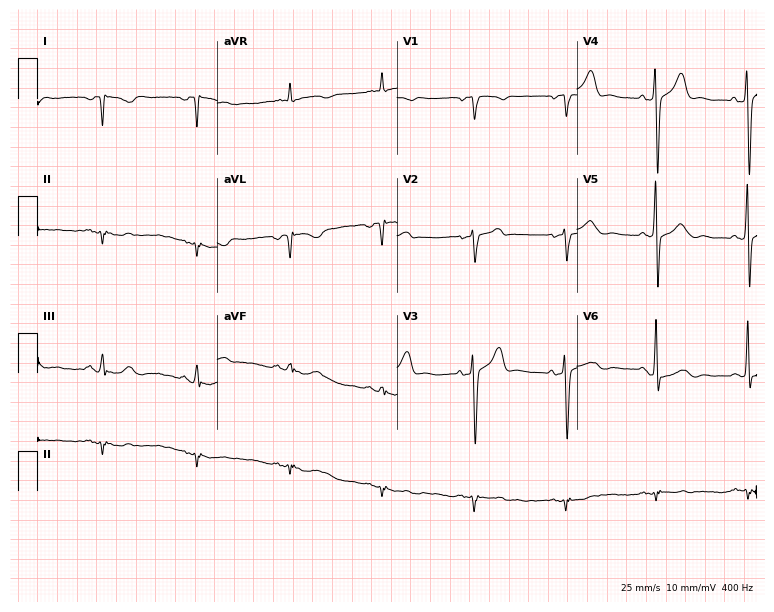
12-lead ECG (7.3-second recording at 400 Hz) from a 52-year-old male patient. Screened for six findings — first-degree AV block, right bundle branch block, left bundle branch block, sinus bradycardia, atrial fibrillation, sinus tachycardia — none is recorded. Only these six findings were labelled.